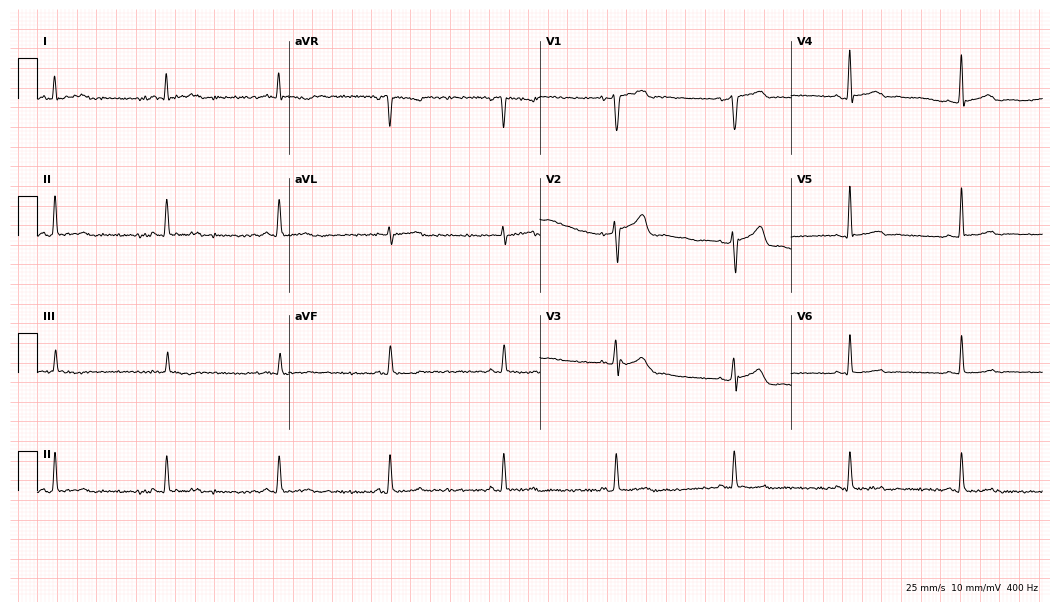
ECG (10.2-second recording at 400 Hz) — a 27-year-old male patient. Screened for six findings — first-degree AV block, right bundle branch block (RBBB), left bundle branch block (LBBB), sinus bradycardia, atrial fibrillation (AF), sinus tachycardia — none is recorded.